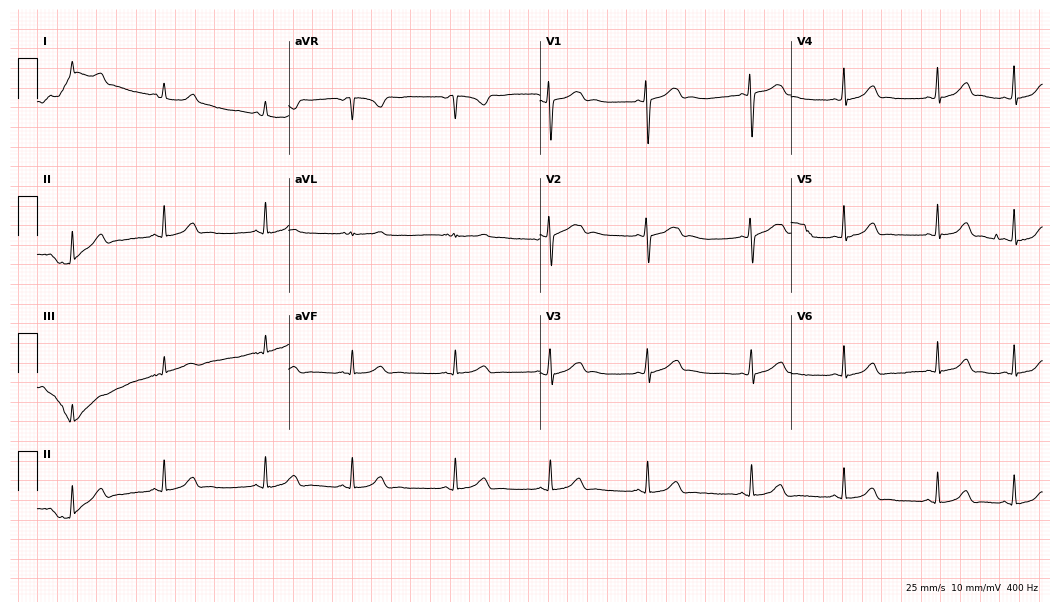
Standard 12-lead ECG recorded from a 22-year-old female (10.2-second recording at 400 Hz). None of these six findings is recorded: first-degree AV block, right bundle branch block, left bundle branch block, sinus bradycardia, atrial fibrillation, sinus tachycardia.